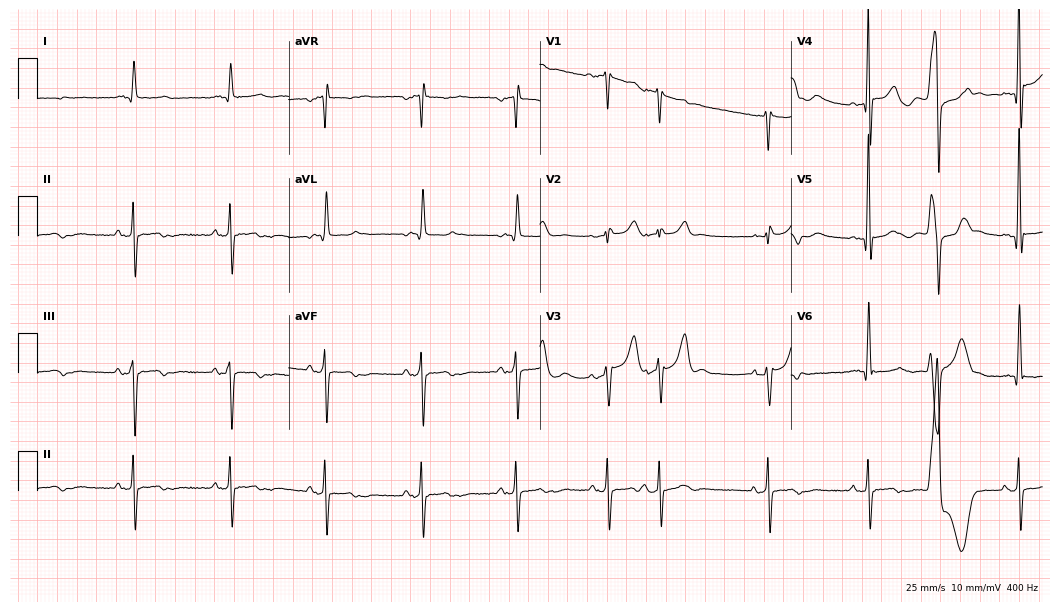
Electrocardiogram (10.2-second recording at 400 Hz), a male, 73 years old. Of the six screened findings (first-degree AV block, right bundle branch block, left bundle branch block, sinus bradycardia, atrial fibrillation, sinus tachycardia), none is recorded. Other findings, if any, are not listed.